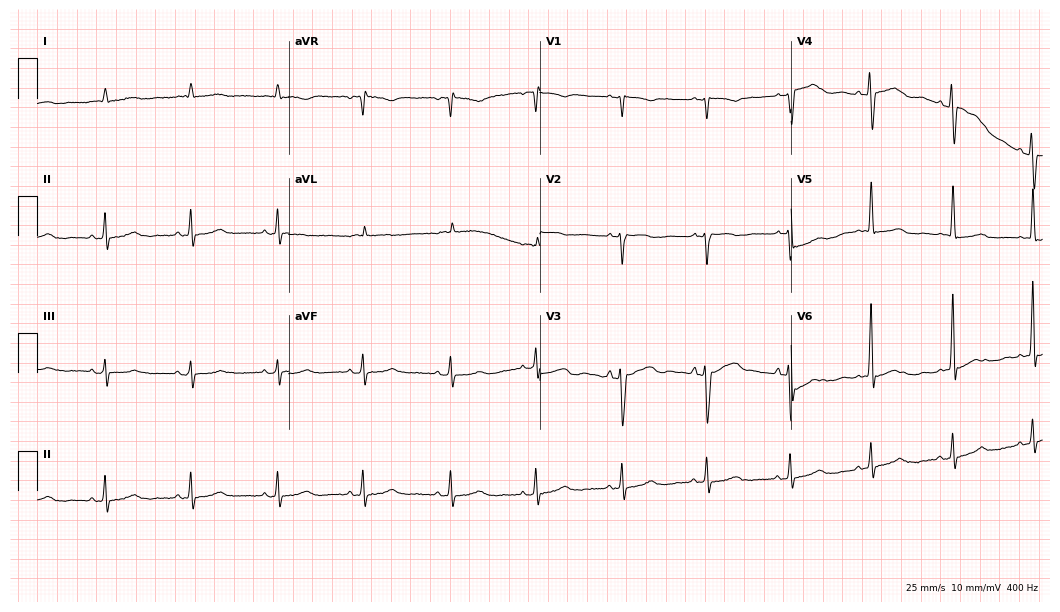
Standard 12-lead ECG recorded from a female patient, 75 years old (10.2-second recording at 400 Hz). None of these six findings is recorded: first-degree AV block, right bundle branch block, left bundle branch block, sinus bradycardia, atrial fibrillation, sinus tachycardia.